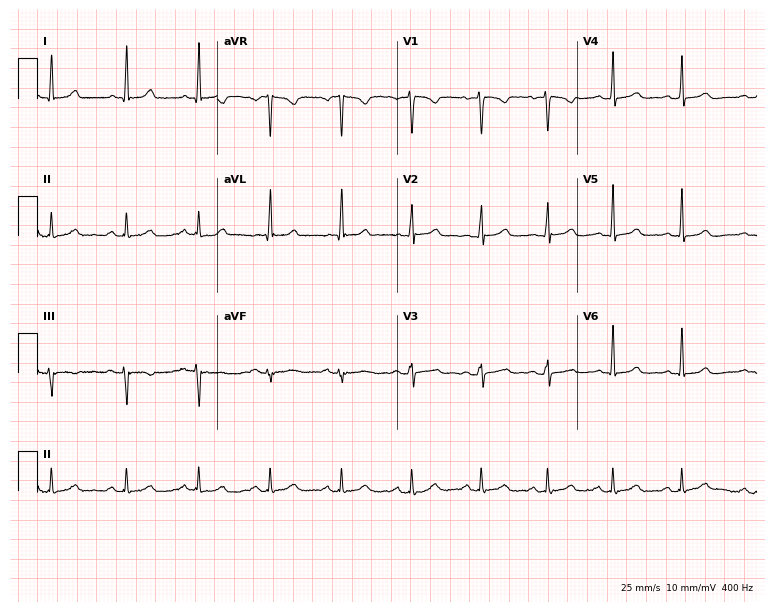
12-lead ECG from a 32-year-old woman. Labelled as a normal ECG.